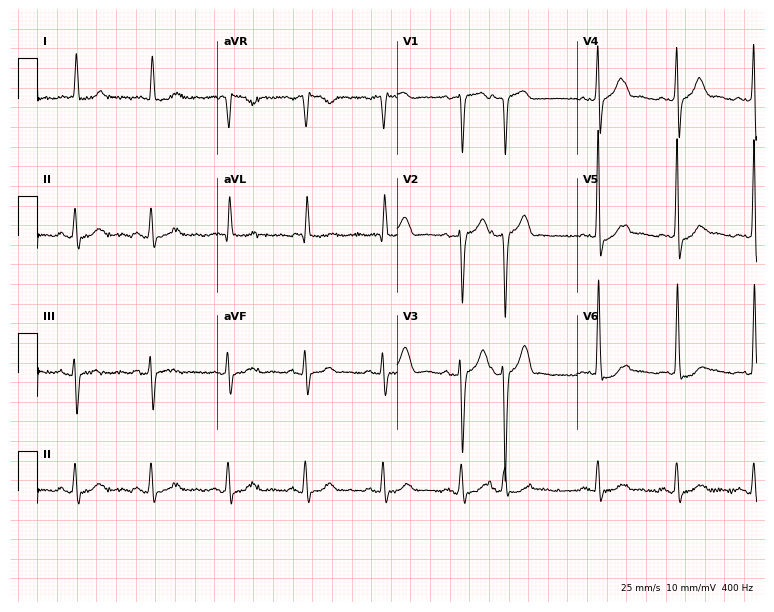
12-lead ECG from a woman, 85 years old. No first-degree AV block, right bundle branch block, left bundle branch block, sinus bradycardia, atrial fibrillation or sinus tachycardia recorded for this tracing. Other findings, if any, are not listed.